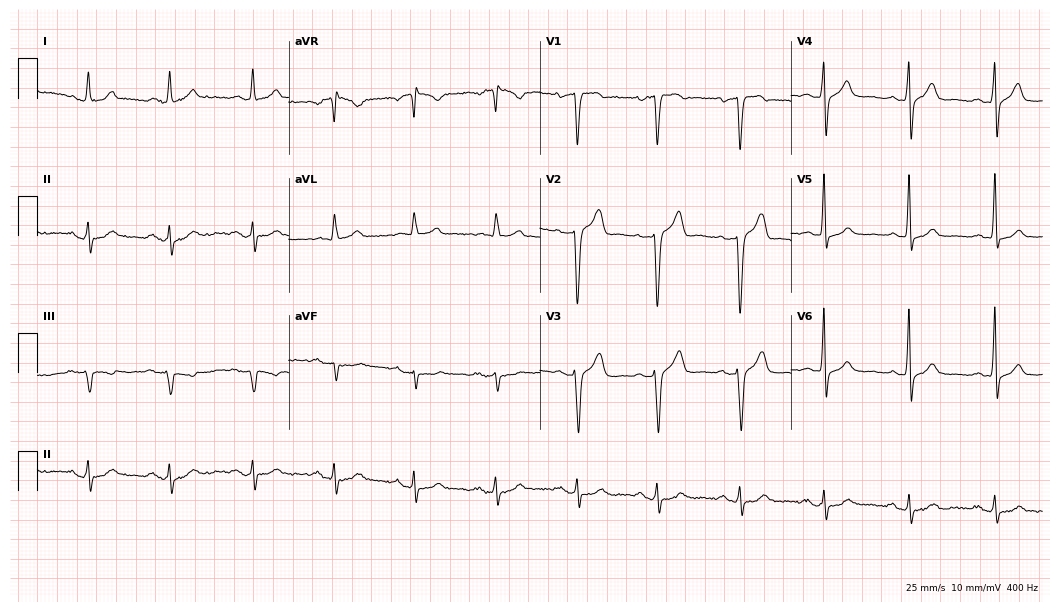
Resting 12-lead electrocardiogram. Patient: a man, 60 years old. None of these six findings is recorded: first-degree AV block, right bundle branch block, left bundle branch block, sinus bradycardia, atrial fibrillation, sinus tachycardia.